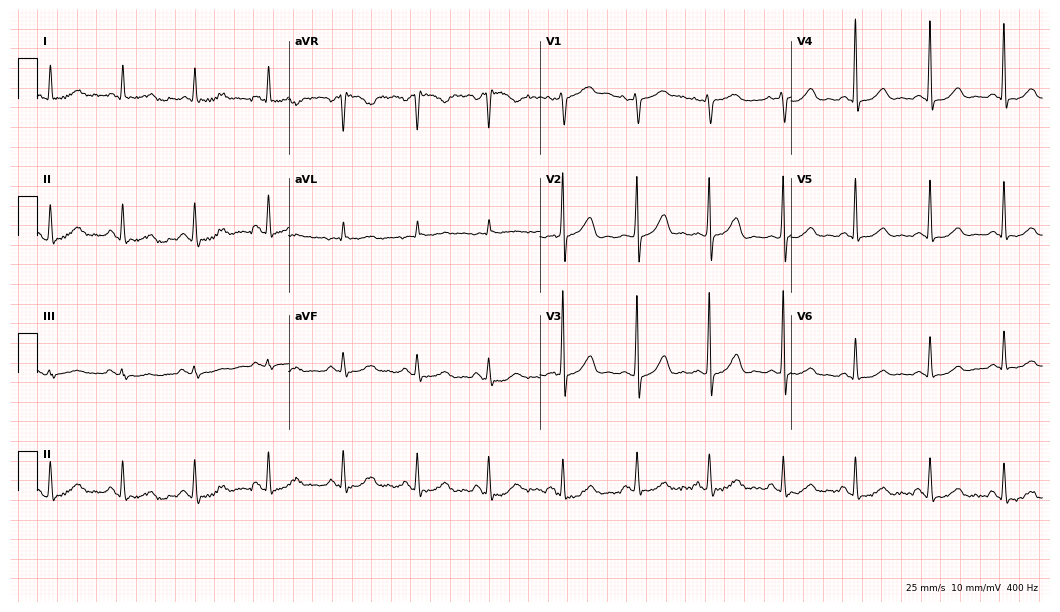
12-lead ECG (10.2-second recording at 400 Hz) from a 72-year-old female patient. Screened for six findings — first-degree AV block, right bundle branch block, left bundle branch block, sinus bradycardia, atrial fibrillation, sinus tachycardia — none is recorded.